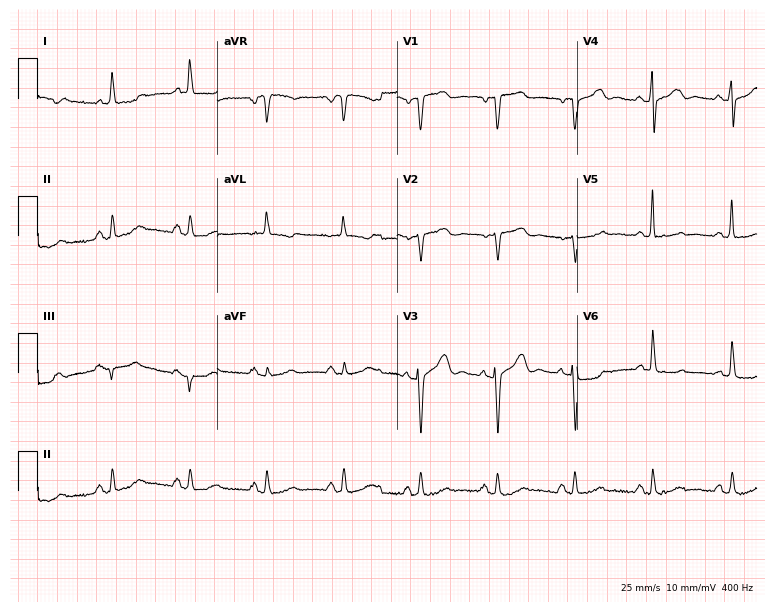
Resting 12-lead electrocardiogram (7.3-second recording at 400 Hz). Patient: a woman, 76 years old. None of these six findings is recorded: first-degree AV block, right bundle branch block, left bundle branch block, sinus bradycardia, atrial fibrillation, sinus tachycardia.